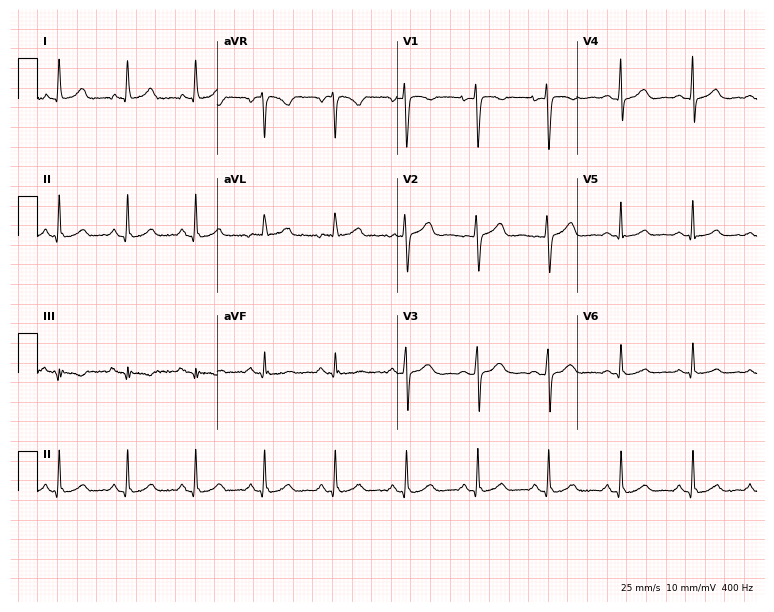
Electrocardiogram, a female patient, 38 years old. Overall reading on record: normal ECG.